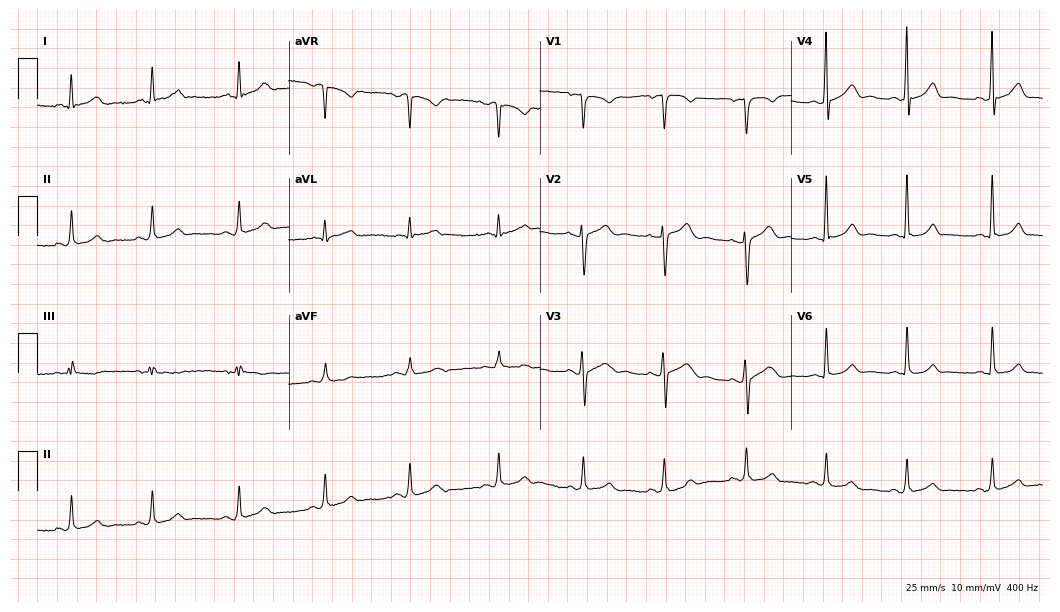
12-lead ECG from a male, 41 years old. Screened for six findings — first-degree AV block, right bundle branch block, left bundle branch block, sinus bradycardia, atrial fibrillation, sinus tachycardia — none is recorded.